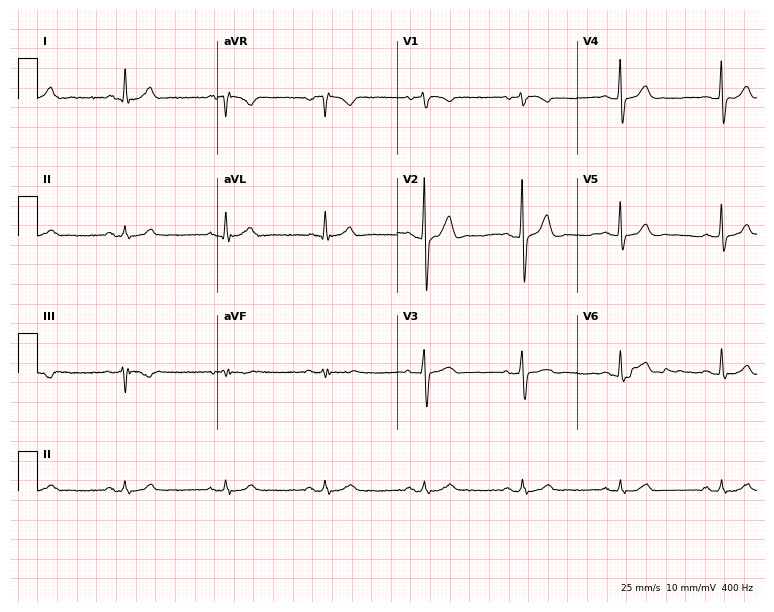
12-lead ECG (7.3-second recording at 400 Hz) from a male patient, 62 years old. Labelled as a normal ECG.